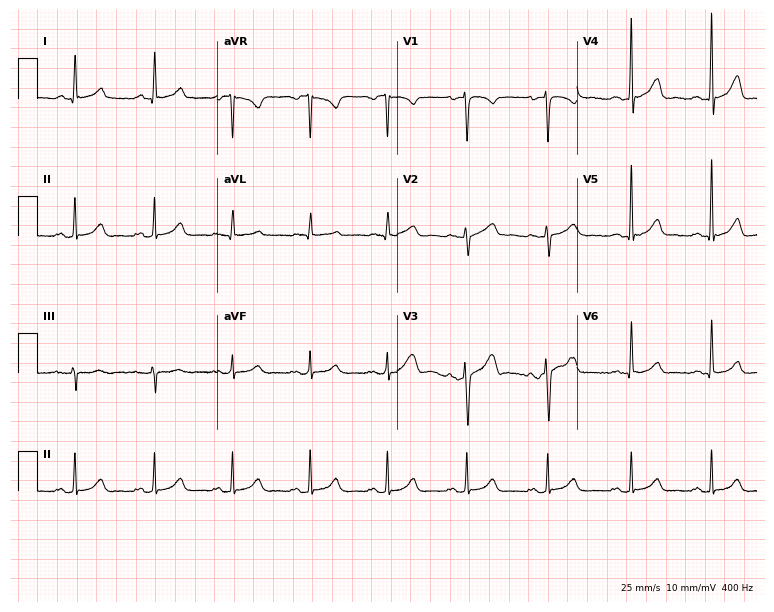
Standard 12-lead ECG recorded from a 58-year-old woman. Read as a normal ECG.